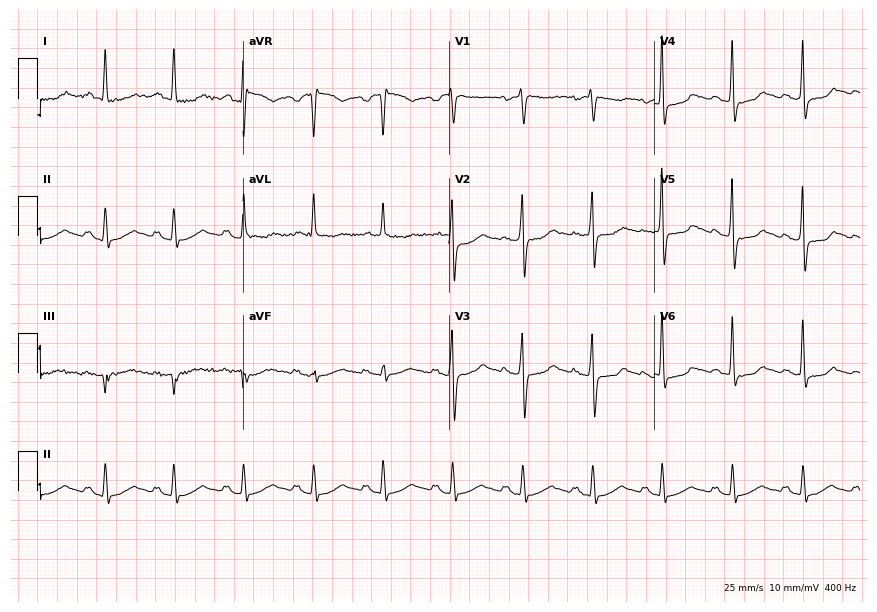
Standard 12-lead ECG recorded from a 44-year-old woman (8.4-second recording at 400 Hz). None of these six findings is recorded: first-degree AV block, right bundle branch block, left bundle branch block, sinus bradycardia, atrial fibrillation, sinus tachycardia. Only these six findings were labelled.